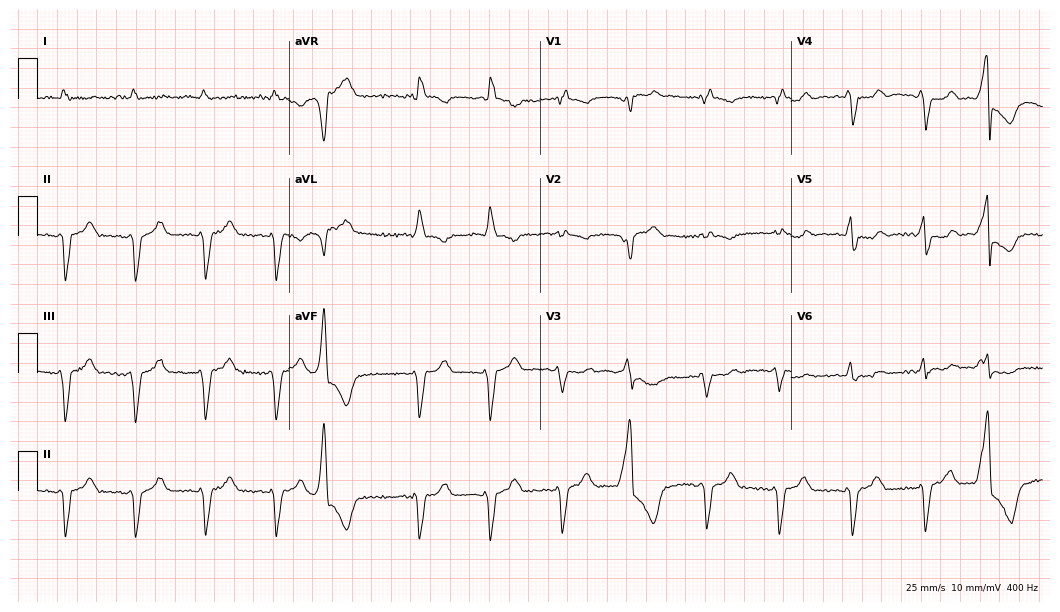
12-lead ECG from a male, 83 years old (10.2-second recording at 400 Hz). Shows right bundle branch block (RBBB), atrial fibrillation (AF).